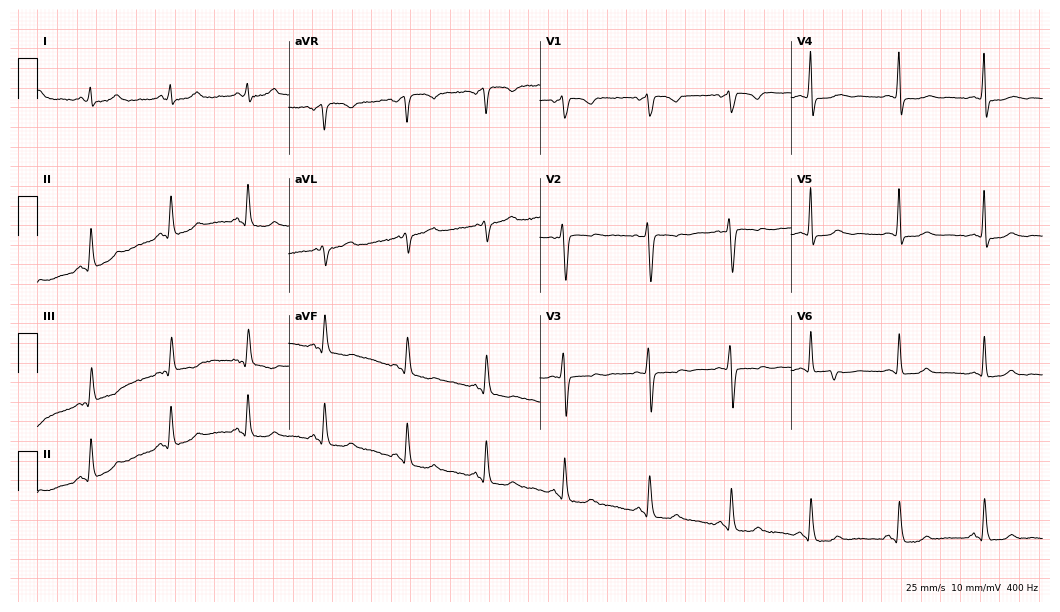
Electrocardiogram (10.2-second recording at 400 Hz), a female patient, 35 years old. Of the six screened findings (first-degree AV block, right bundle branch block, left bundle branch block, sinus bradycardia, atrial fibrillation, sinus tachycardia), none is recorded.